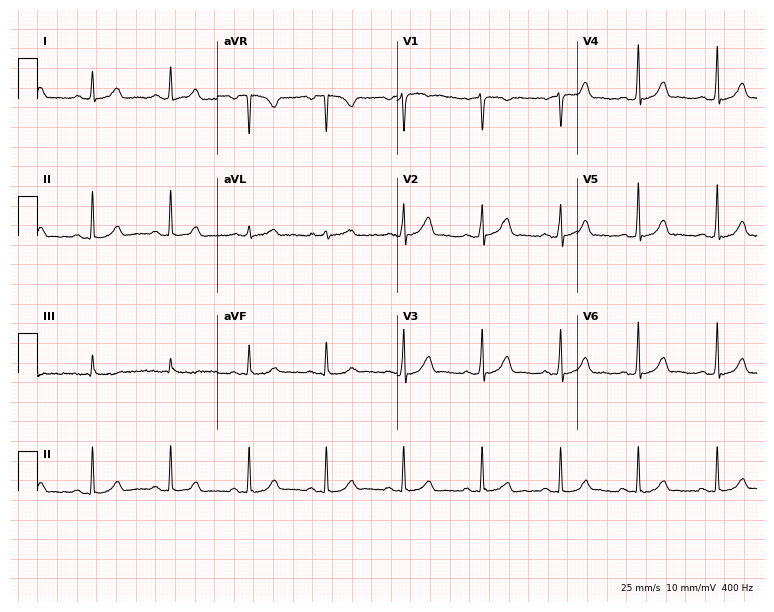
ECG (7.3-second recording at 400 Hz) — a 52-year-old woman. Labelled as a normal ECG.